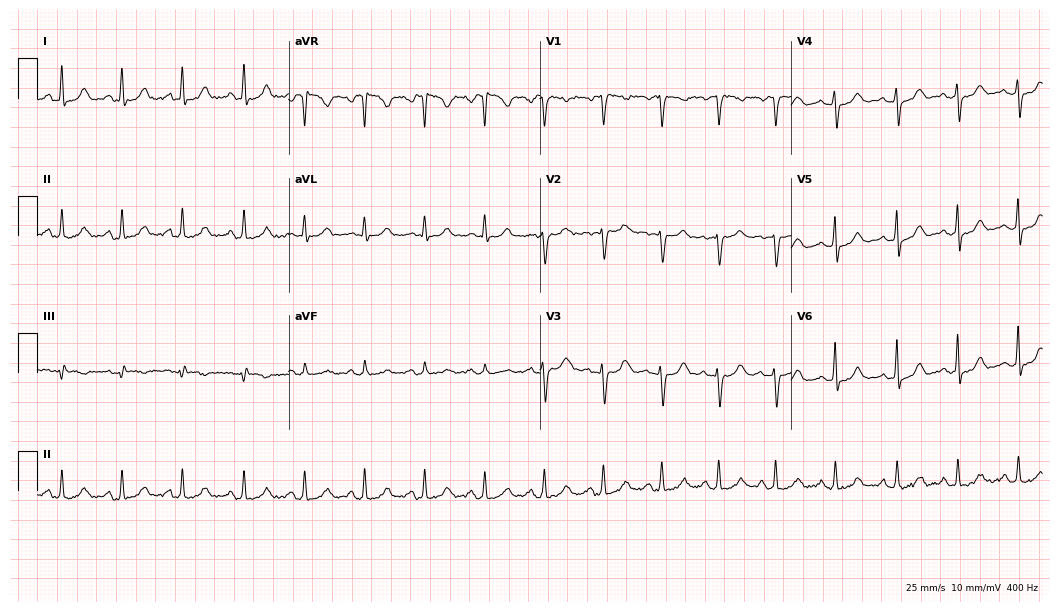
Standard 12-lead ECG recorded from a 41-year-old female. None of these six findings is recorded: first-degree AV block, right bundle branch block (RBBB), left bundle branch block (LBBB), sinus bradycardia, atrial fibrillation (AF), sinus tachycardia.